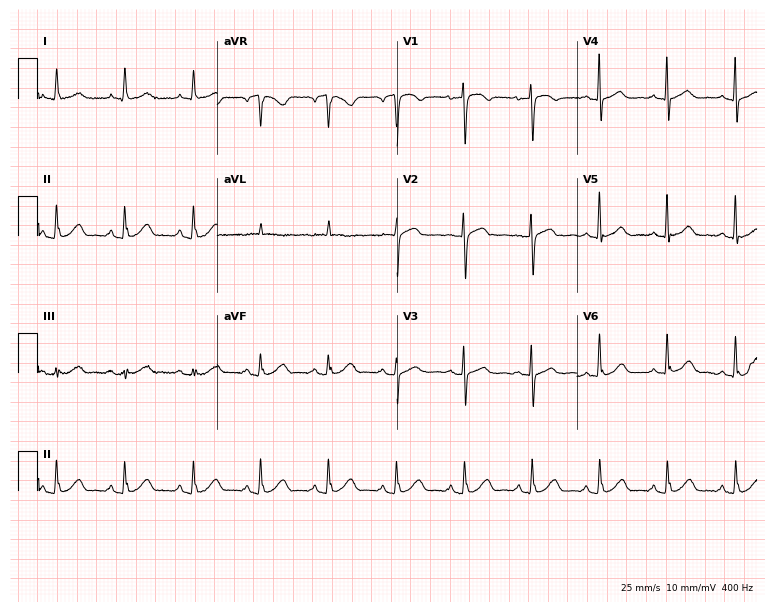
12-lead ECG from an 82-year-old female patient. Screened for six findings — first-degree AV block, right bundle branch block, left bundle branch block, sinus bradycardia, atrial fibrillation, sinus tachycardia — none is recorded.